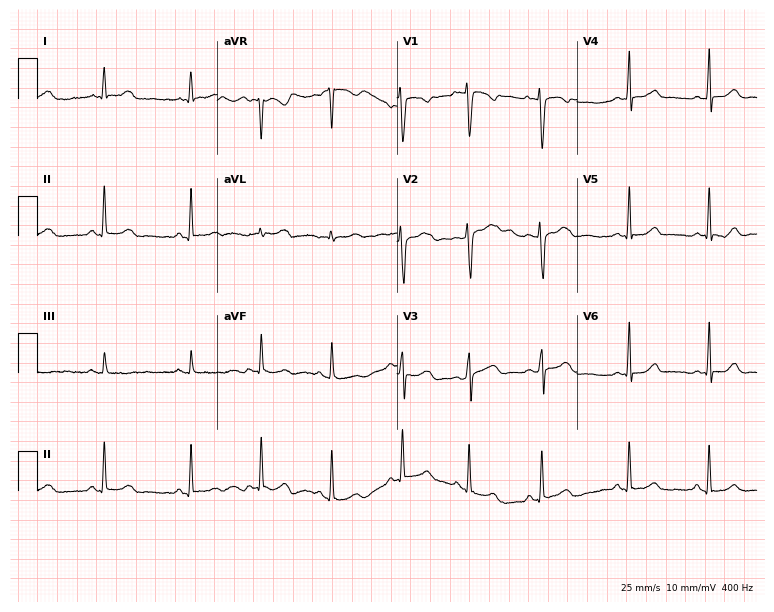
ECG (7.3-second recording at 400 Hz) — a 22-year-old female. Labelled as a normal ECG.